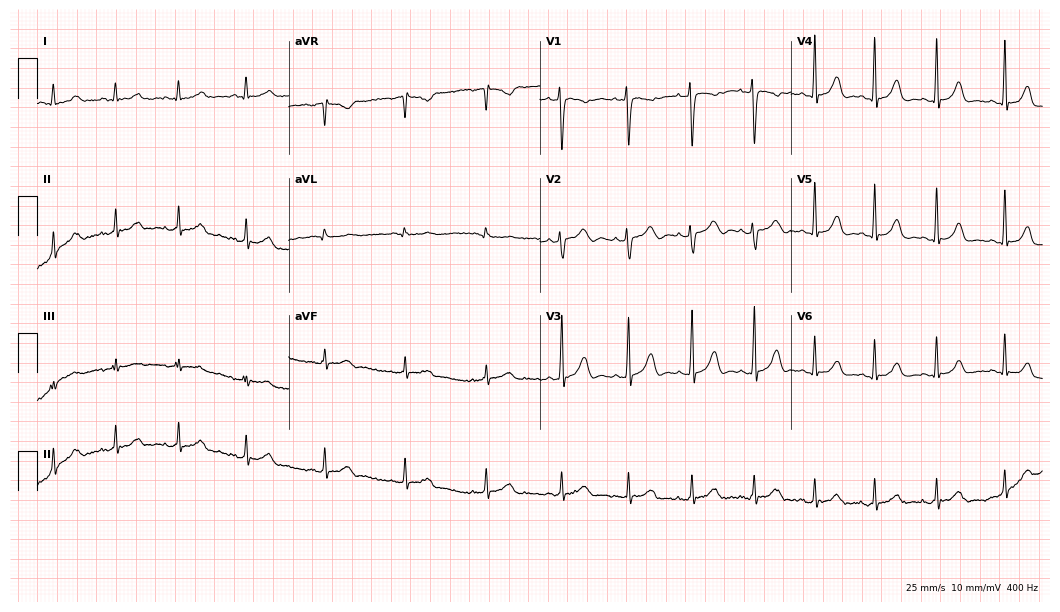
12-lead ECG from a woman, 24 years old. Recorded interpretation: within normal limits.